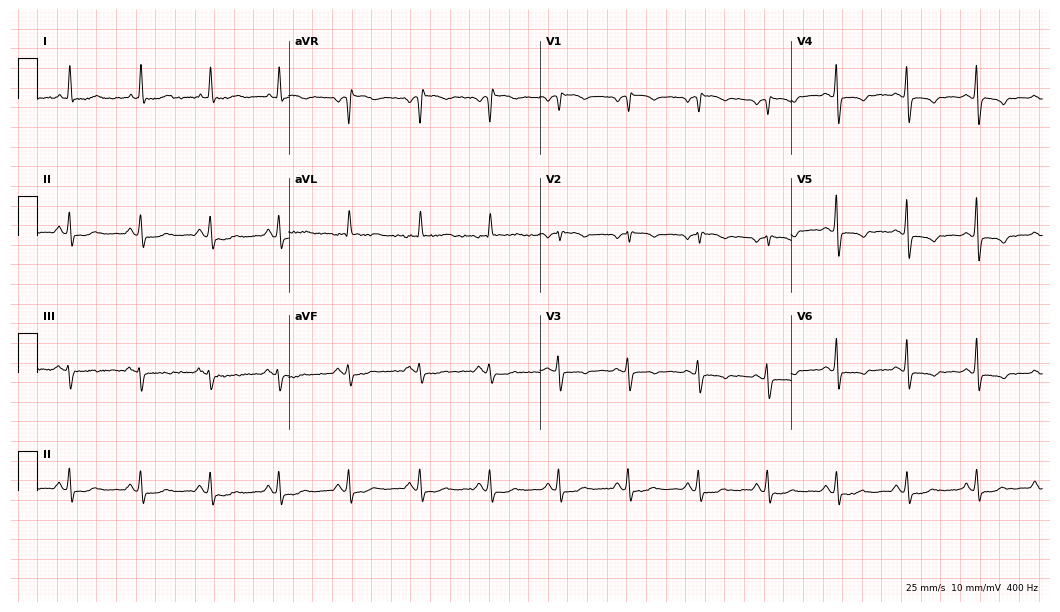
Resting 12-lead electrocardiogram (10.2-second recording at 400 Hz). Patient: a female, 74 years old. None of these six findings is recorded: first-degree AV block, right bundle branch block (RBBB), left bundle branch block (LBBB), sinus bradycardia, atrial fibrillation (AF), sinus tachycardia. Other findings, if any, are not listed.